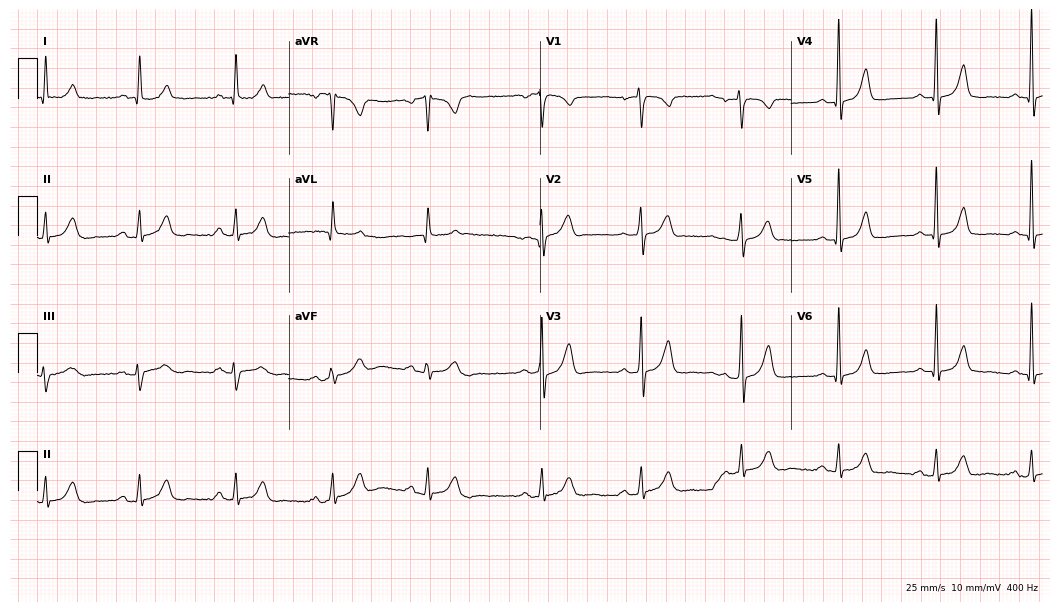
Resting 12-lead electrocardiogram. Patient: a 71-year-old woman. Read as a normal ECG.